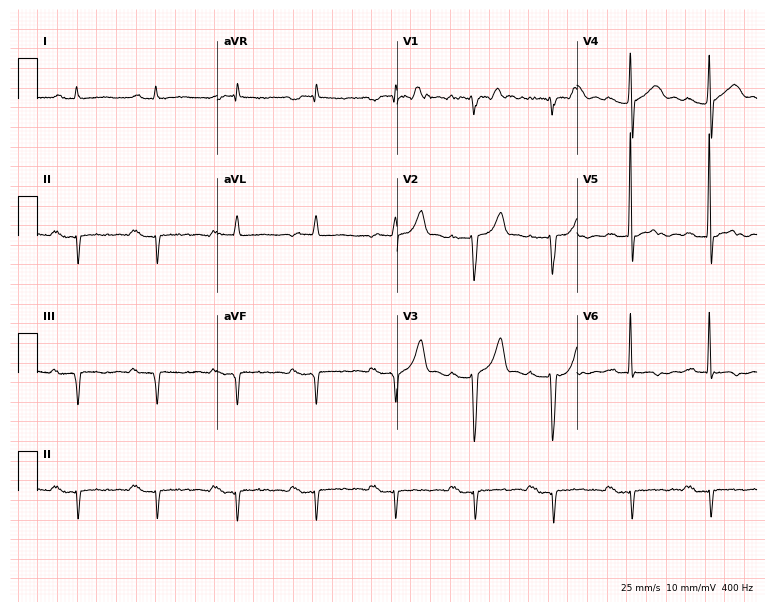
Resting 12-lead electrocardiogram (7.3-second recording at 400 Hz). Patient: a 66-year-old male. None of these six findings is recorded: first-degree AV block, right bundle branch block, left bundle branch block, sinus bradycardia, atrial fibrillation, sinus tachycardia.